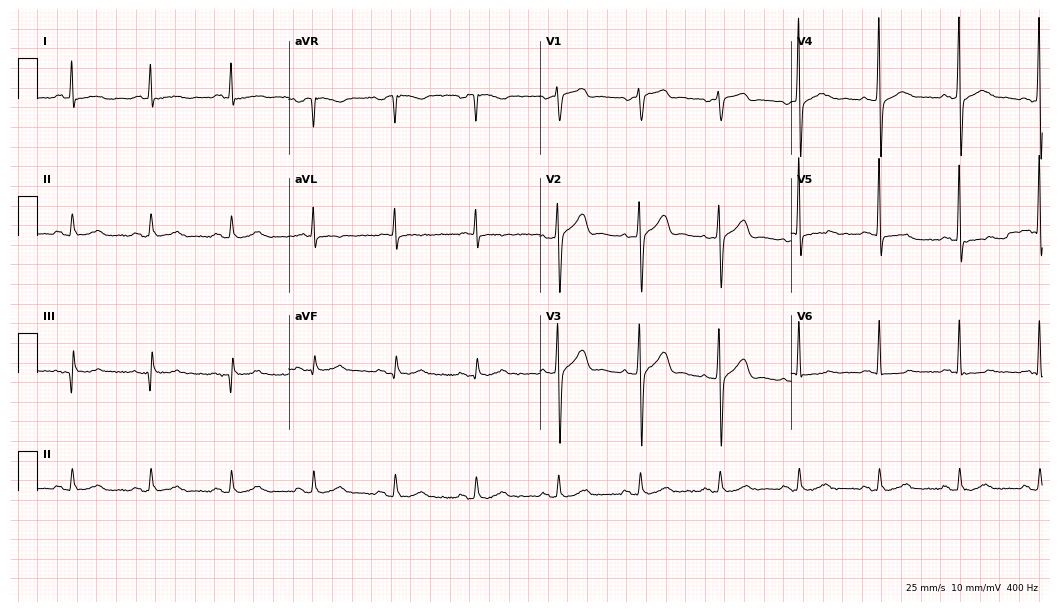
12-lead ECG from a man, 48 years old. No first-degree AV block, right bundle branch block, left bundle branch block, sinus bradycardia, atrial fibrillation or sinus tachycardia recorded for this tracing.